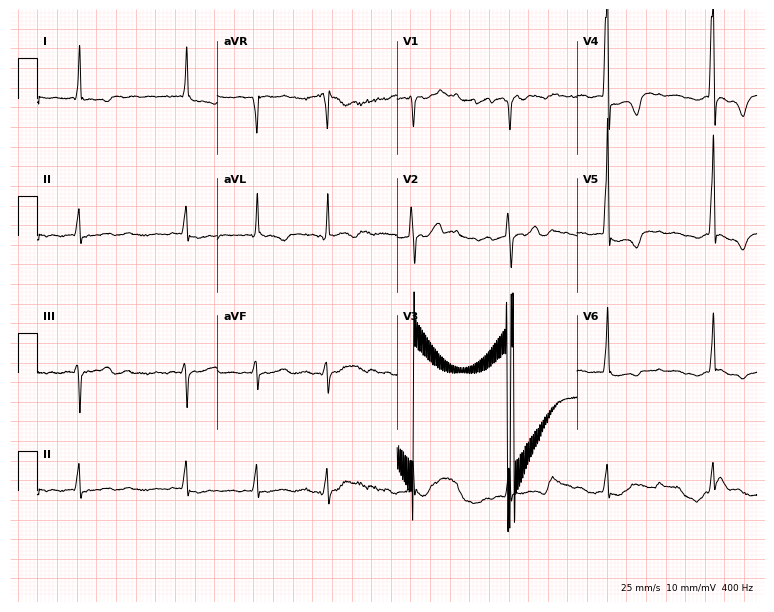
12-lead ECG (7.3-second recording at 400 Hz) from an 80-year-old male. Findings include atrial fibrillation.